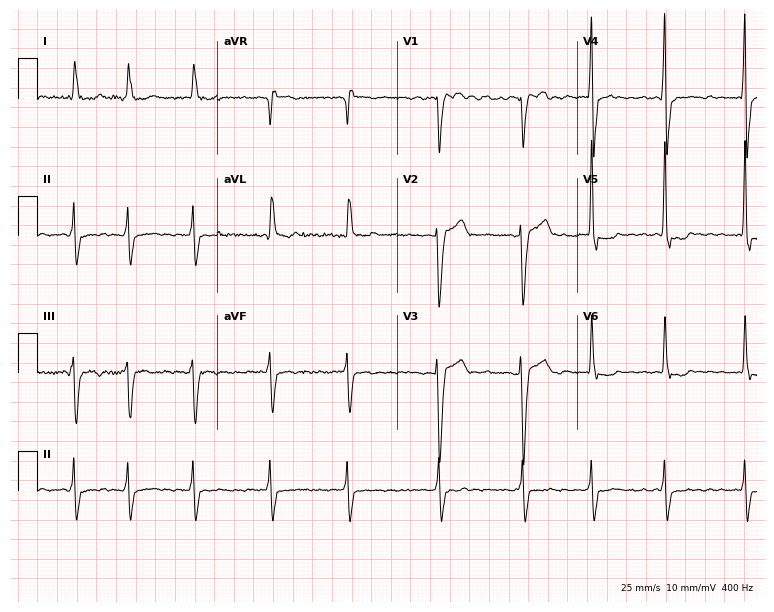
Standard 12-lead ECG recorded from a 68-year-old female patient. The tracing shows atrial fibrillation.